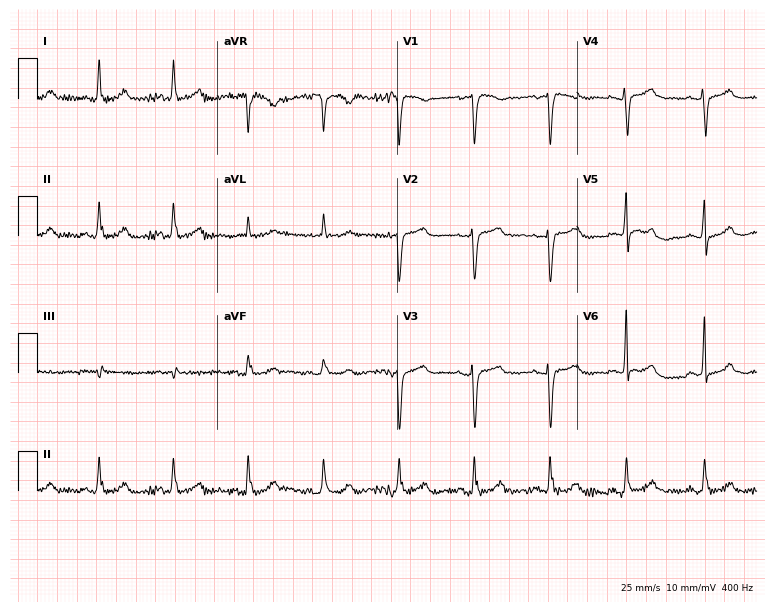
Electrocardiogram, a 75-year-old female patient. Of the six screened findings (first-degree AV block, right bundle branch block (RBBB), left bundle branch block (LBBB), sinus bradycardia, atrial fibrillation (AF), sinus tachycardia), none is recorded.